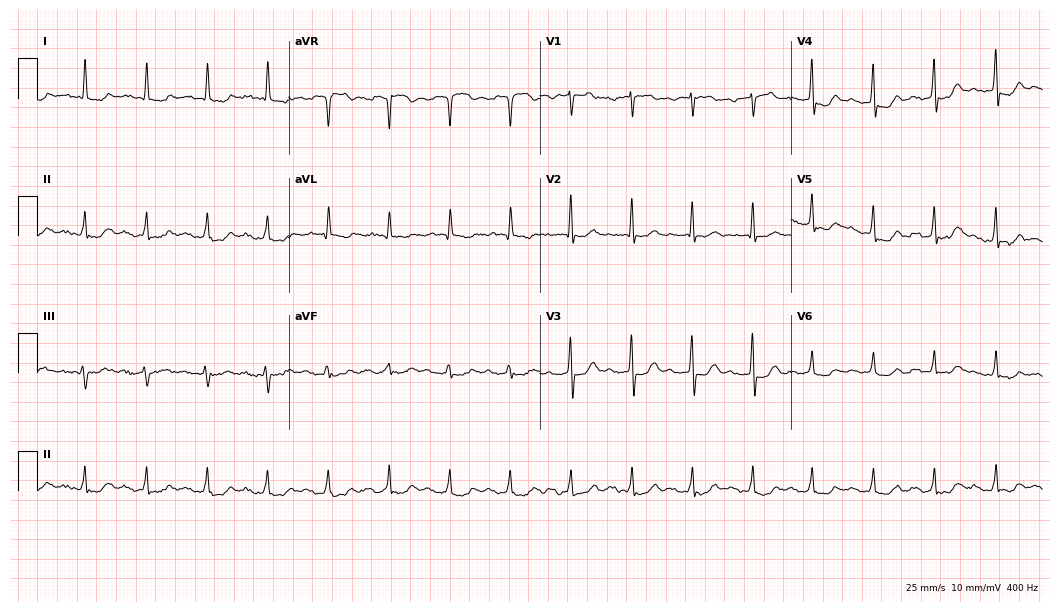
Standard 12-lead ECG recorded from a male patient, 77 years old (10.2-second recording at 400 Hz). None of these six findings is recorded: first-degree AV block, right bundle branch block, left bundle branch block, sinus bradycardia, atrial fibrillation, sinus tachycardia. Findings outside these six are not listed.